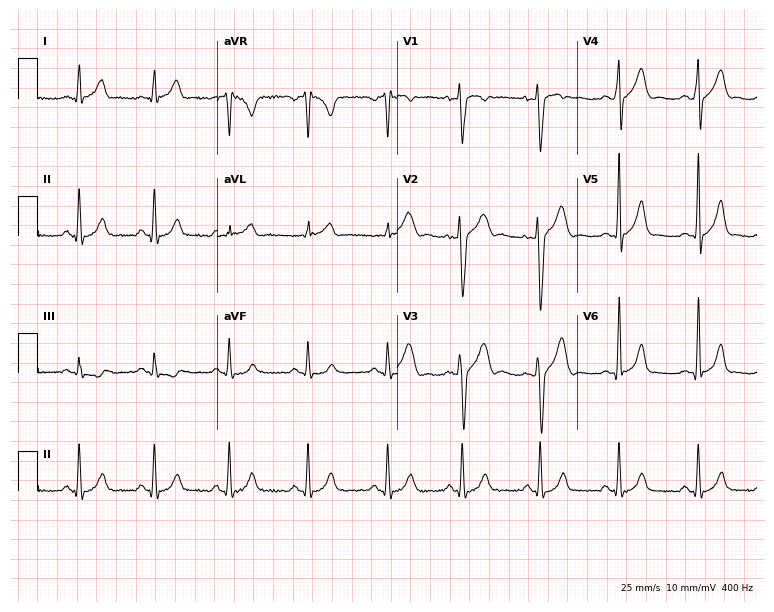
12-lead ECG from a man, 29 years old. No first-degree AV block, right bundle branch block, left bundle branch block, sinus bradycardia, atrial fibrillation or sinus tachycardia recorded for this tracing. Only these six findings were labelled.